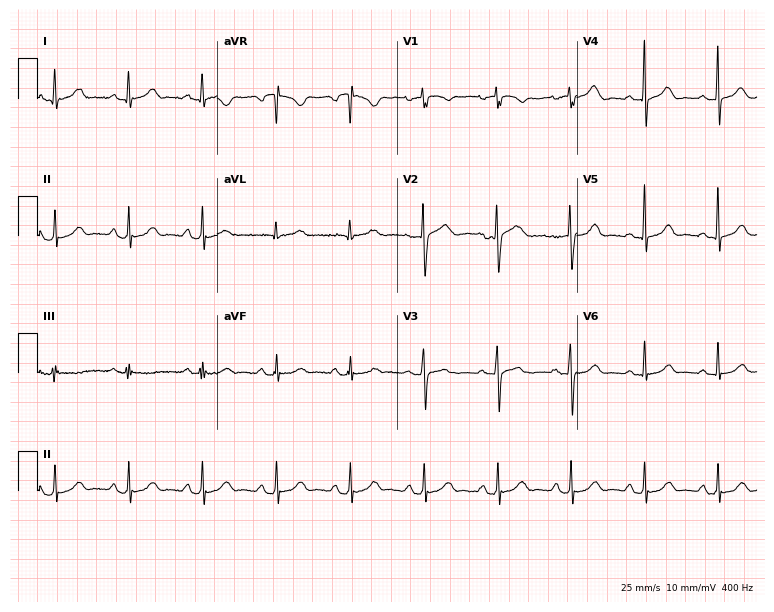
Resting 12-lead electrocardiogram. Patient: a 67-year-old female. Read as a normal ECG.